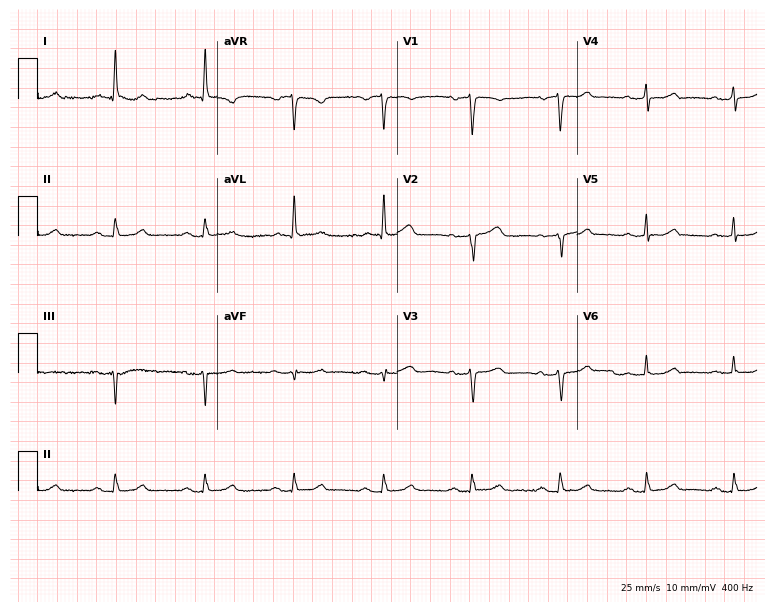
12-lead ECG from a woman, 58 years old. Labelled as a normal ECG.